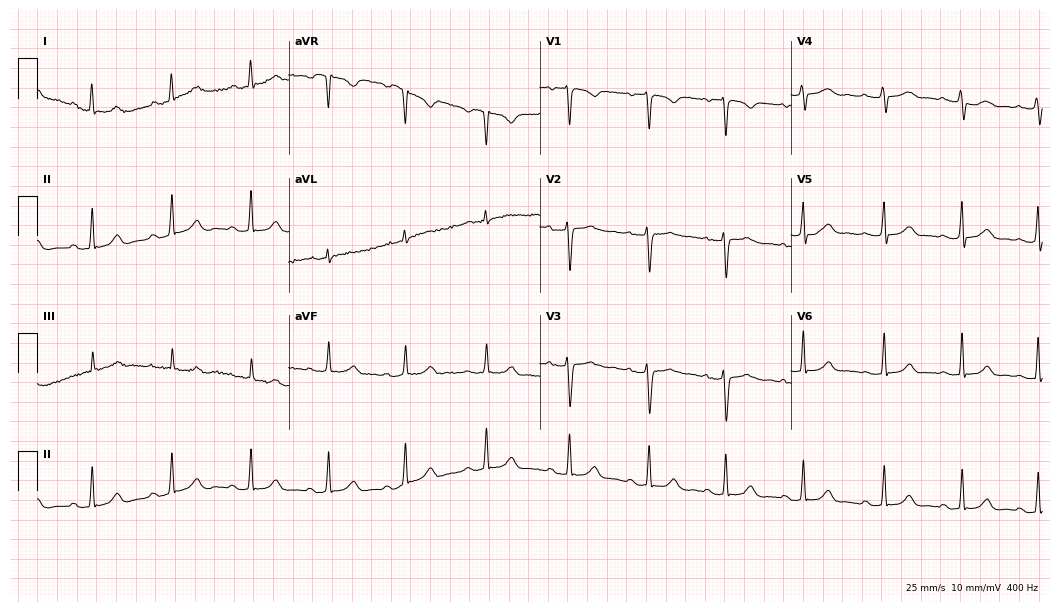
Resting 12-lead electrocardiogram. Patient: a 20-year-old female. Read as a normal ECG.